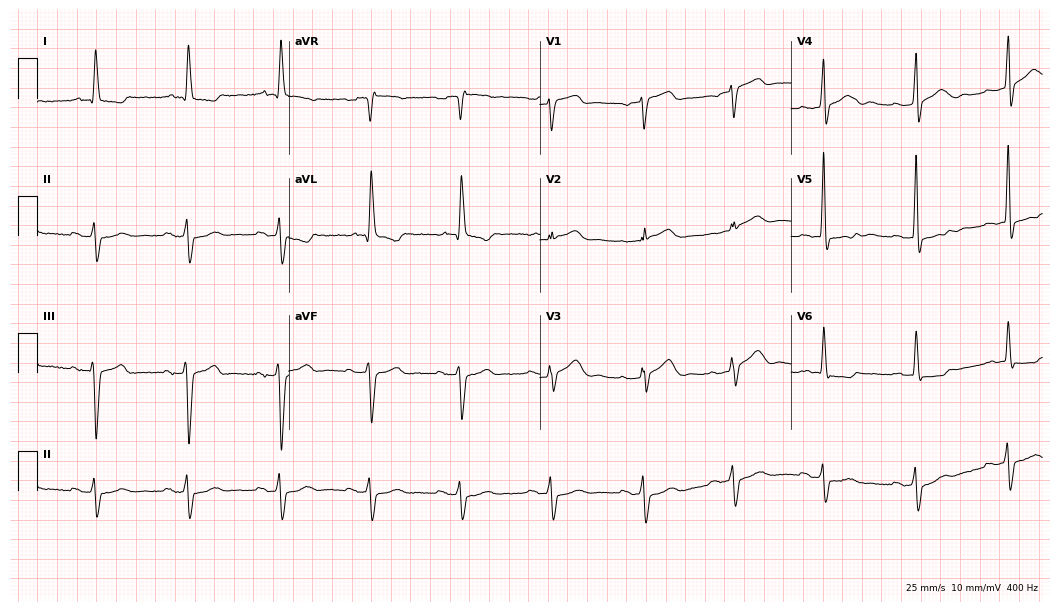
Standard 12-lead ECG recorded from a 70-year-old male patient (10.2-second recording at 400 Hz). None of these six findings is recorded: first-degree AV block, right bundle branch block, left bundle branch block, sinus bradycardia, atrial fibrillation, sinus tachycardia. Other findings, if any, are not listed.